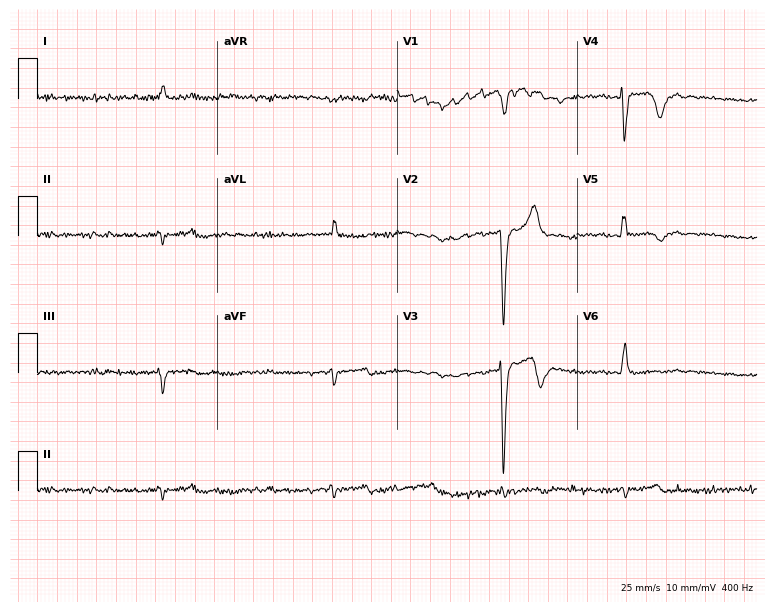
ECG — a male, 73 years old. Screened for six findings — first-degree AV block, right bundle branch block (RBBB), left bundle branch block (LBBB), sinus bradycardia, atrial fibrillation (AF), sinus tachycardia — none is recorded. Other findings, if any, are not listed.